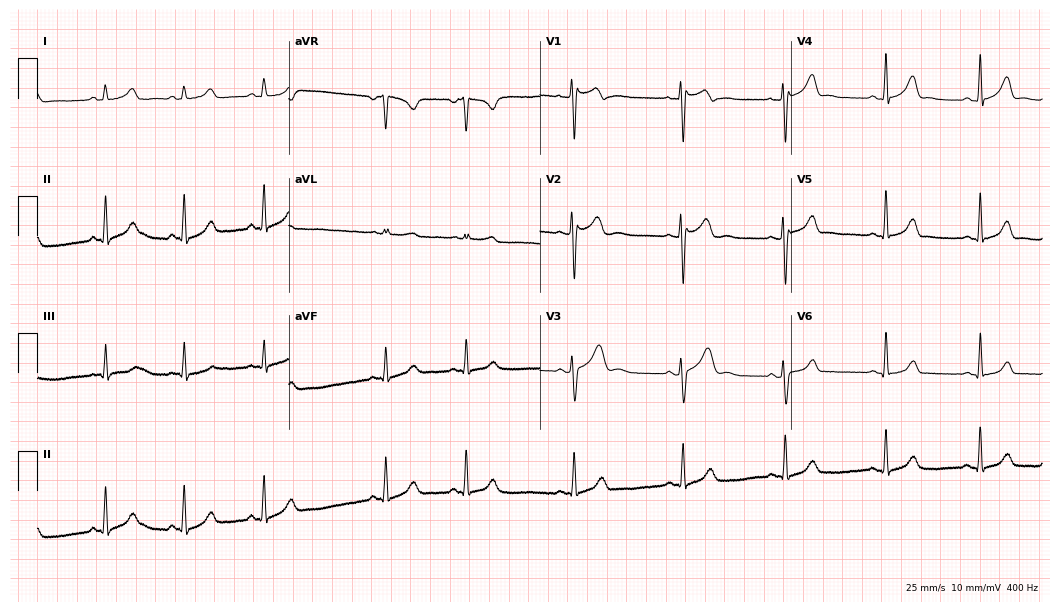
Resting 12-lead electrocardiogram (10.2-second recording at 400 Hz). Patient: a 30-year-old woman. Read as a normal ECG.